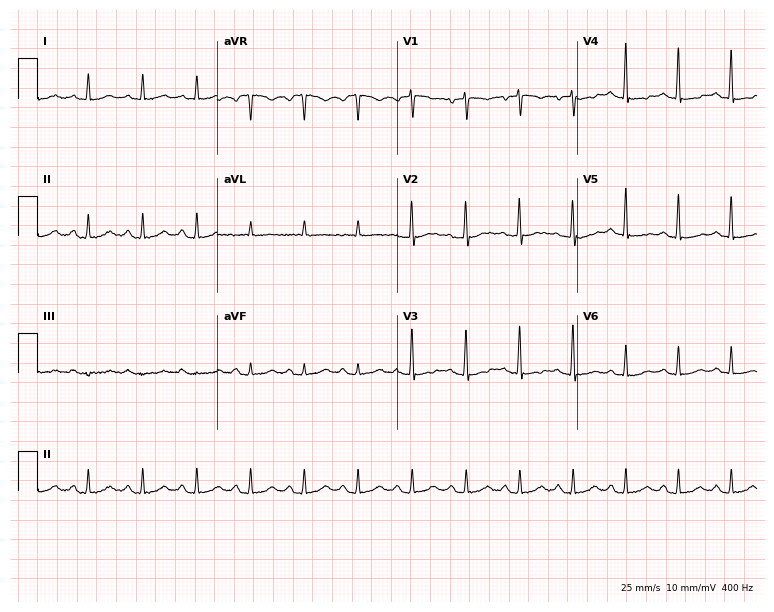
Electrocardiogram (7.3-second recording at 400 Hz), a male patient, 80 years old. Interpretation includes sinus tachycardia (a sinus rate of 100 beats per minute or more).